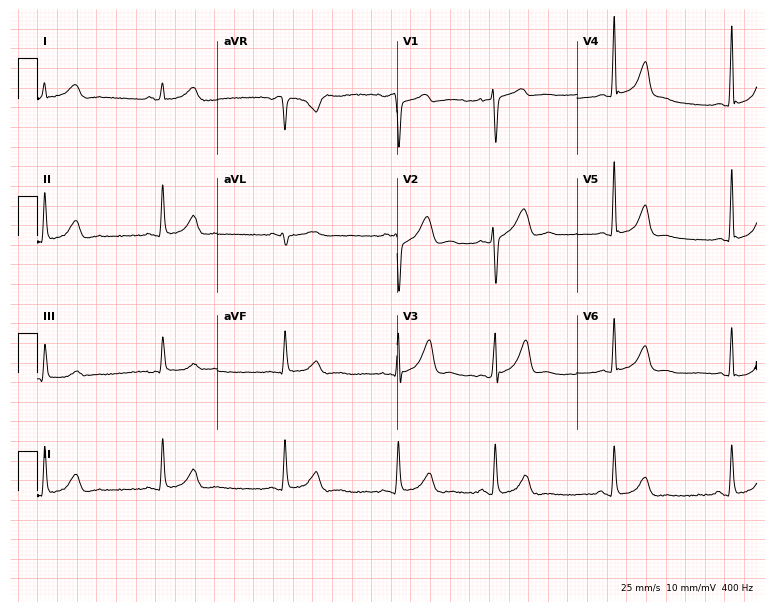
12-lead ECG from a 32-year-old man. No first-degree AV block, right bundle branch block (RBBB), left bundle branch block (LBBB), sinus bradycardia, atrial fibrillation (AF) or sinus tachycardia recorded for this tracing. Only these six findings were labelled.